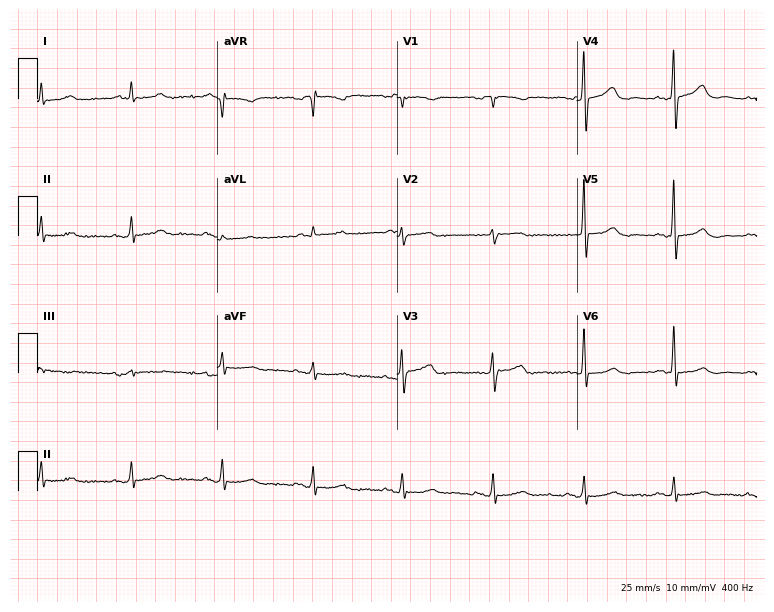
Electrocardiogram (7.3-second recording at 400 Hz), an 80-year-old female. Of the six screened findings (first-degree AV block, right bundle branch block, left bundle branch block, sinus bradycardia, atrial fibrillation, sinus tachycardia), none is recorded. Findings outside these six are not listed.